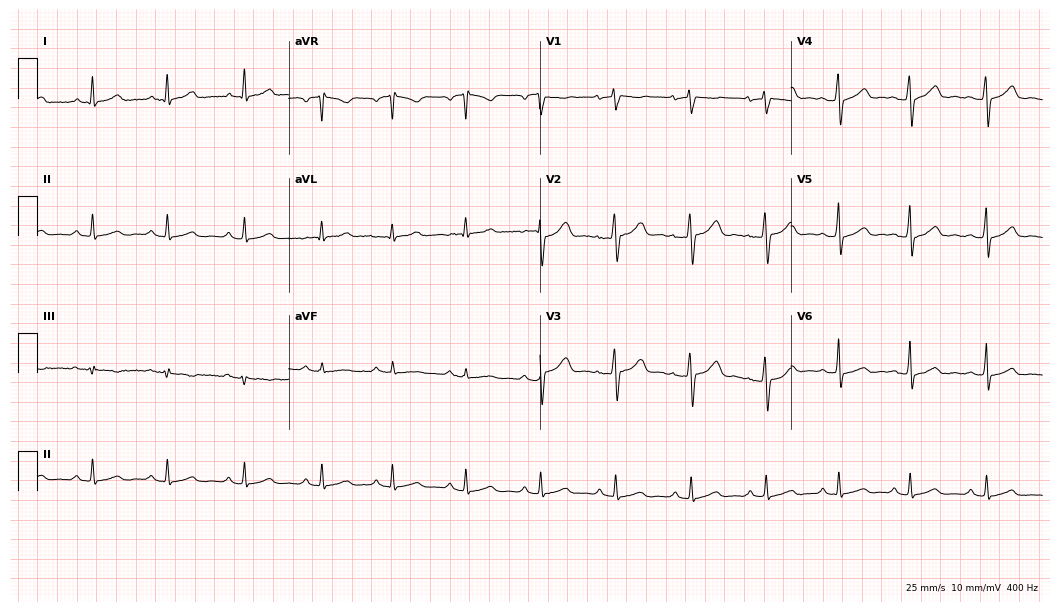
Electrocardiogram (10.2-second recording at 400 Hz), a woman, 39 years old. Overall reading on record: normal ECG.